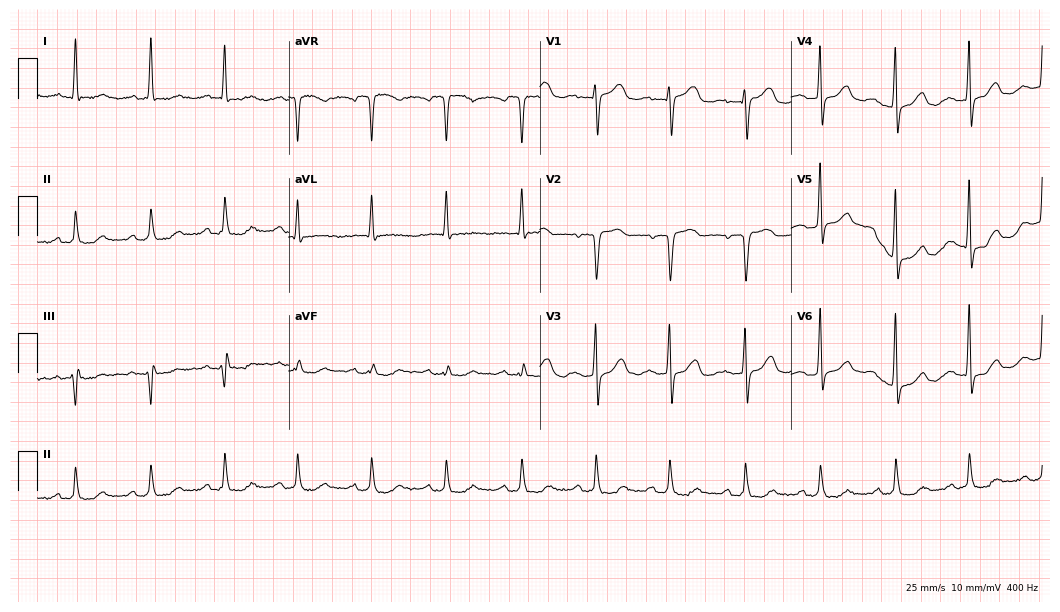
12-lead ECG from a 76-year-old female. No first-degree AV block, right bundle branch block, left bundle branch block, sinus bradycardia, atrial fibrillation or sinus tachycardia recorded for this tracing. Only these six findings were labelled.